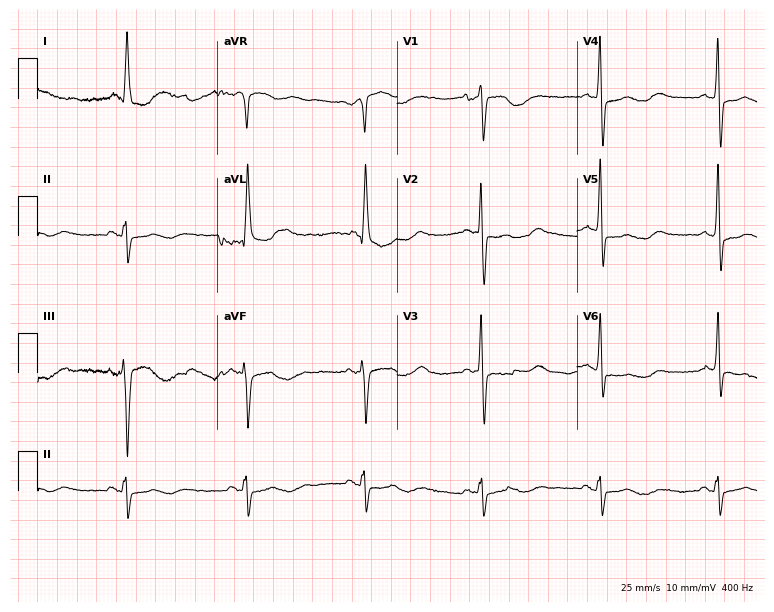
Standard 12-lead ECG recorded from a woman, 78 years old (7.3-second recording at 400 Hz). The tracing shows sinus bradycardia (a sinus rate of 50 beats per minute or less).